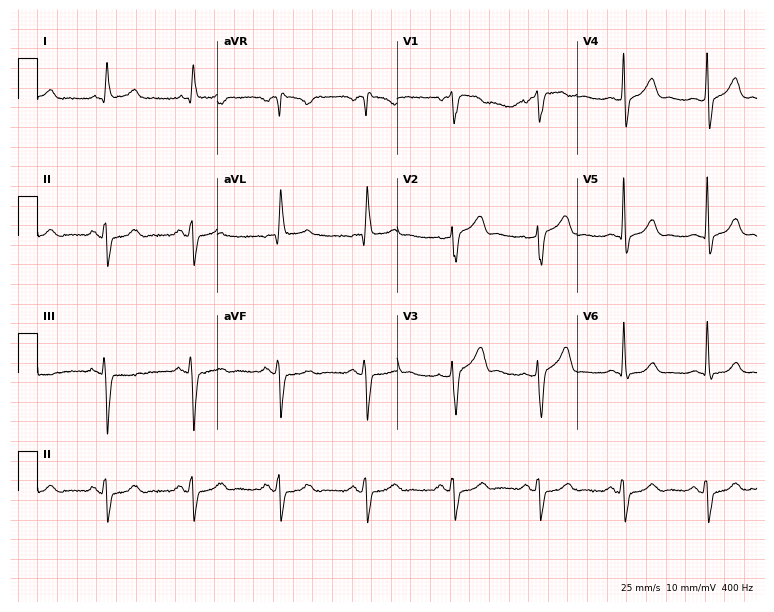
12-lead ECG from a male, 71 years old (7.3-second recording at 400 Hz). No first-degree AV block, right bundle branch block (RBBB), left bundle branch block (LBBB), sinus bradycardia, atrial fibrillation (AF) or sinus tachycardia recorded for this tracing.